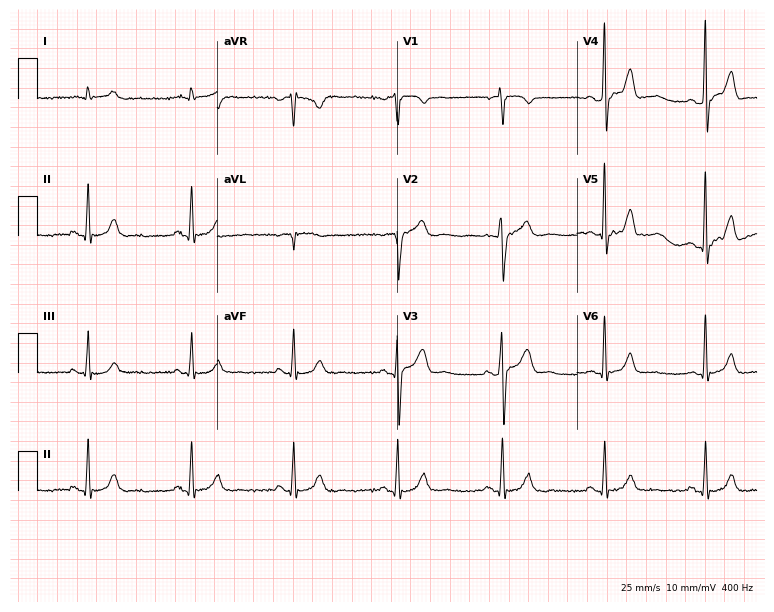
Resting 12-lead electrocardiogram (7.3-second recording at 400 Hz). Patient: a 63-year-old man. Read as a normal ECG.